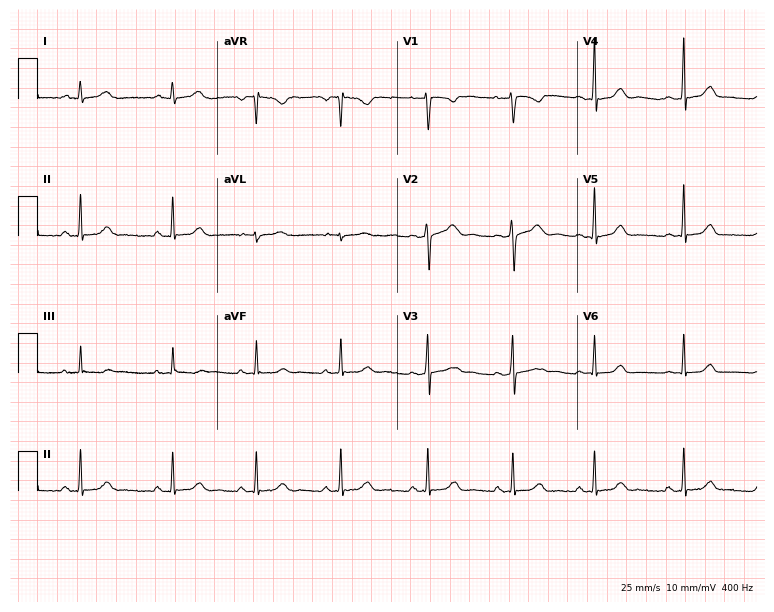
Standard 12-lead ECG recorded from a female patient, 20 years old (7.3-second recording at 400 Hz). Read as a normal ECG.